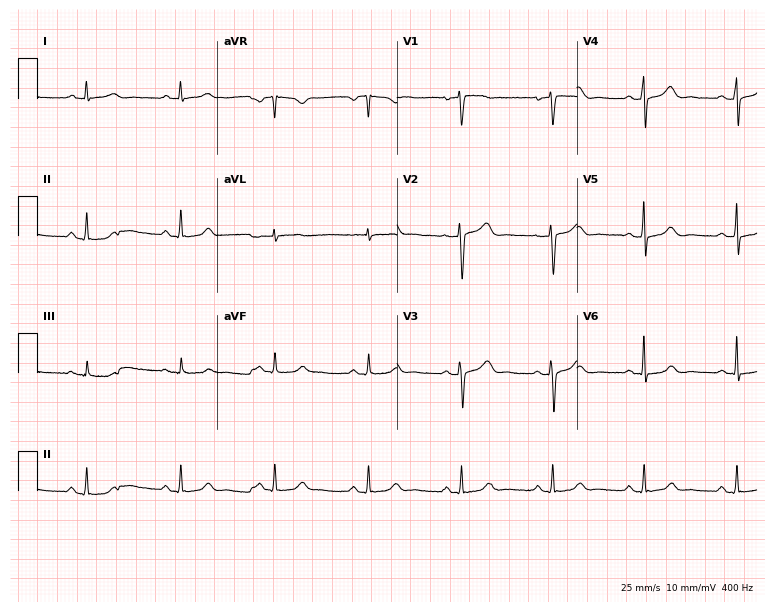
12-lead ECG from a 51-year-old female. No first-degree AV block, right bundle branch block (RBBB), left bundle branch block (LBBB), sinus bradycardia, atrial fibrillation (AF) or sinus tachycardia recorded for this tracing. Other findings, if any, are not listed.